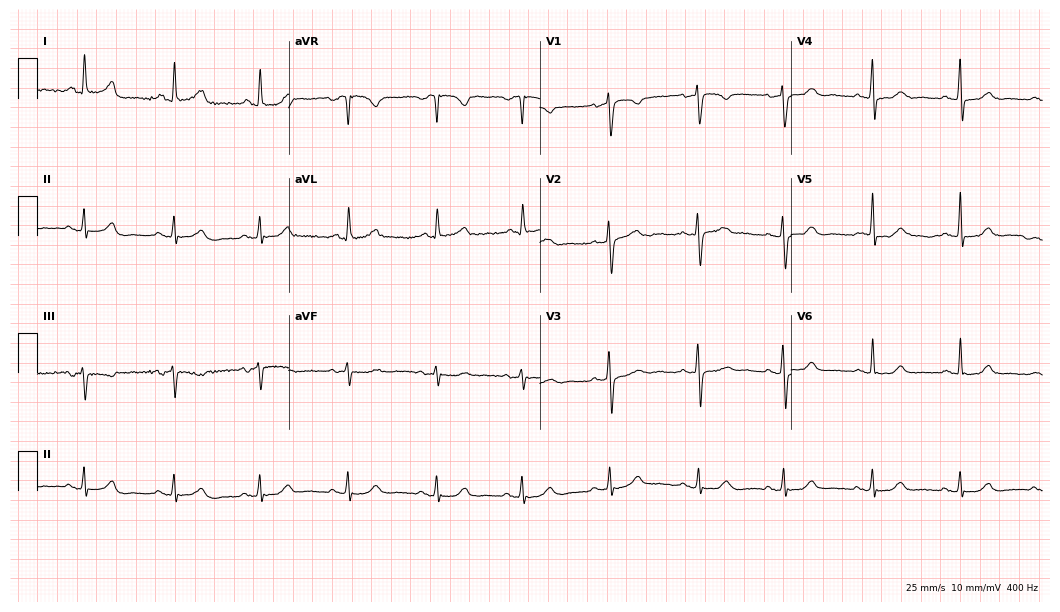
Electrocardiogram, a female, 55 years old. Of the six screened findings (first-degree AV block, right bundle branch block, left bundle branch block, sinus bradycardia, atrial fibrillation, sinus tachycardia), none is recorded. Other findings, if any, are not listed.